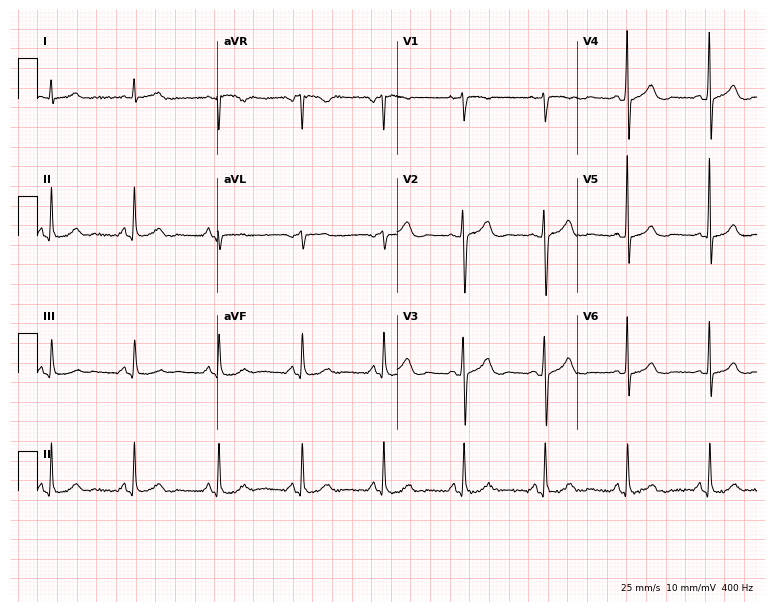
Electrocardiogram (7.3-second recording at 400 Hz), a 69-year-old male patient. Overall reading on record: normal ECG.